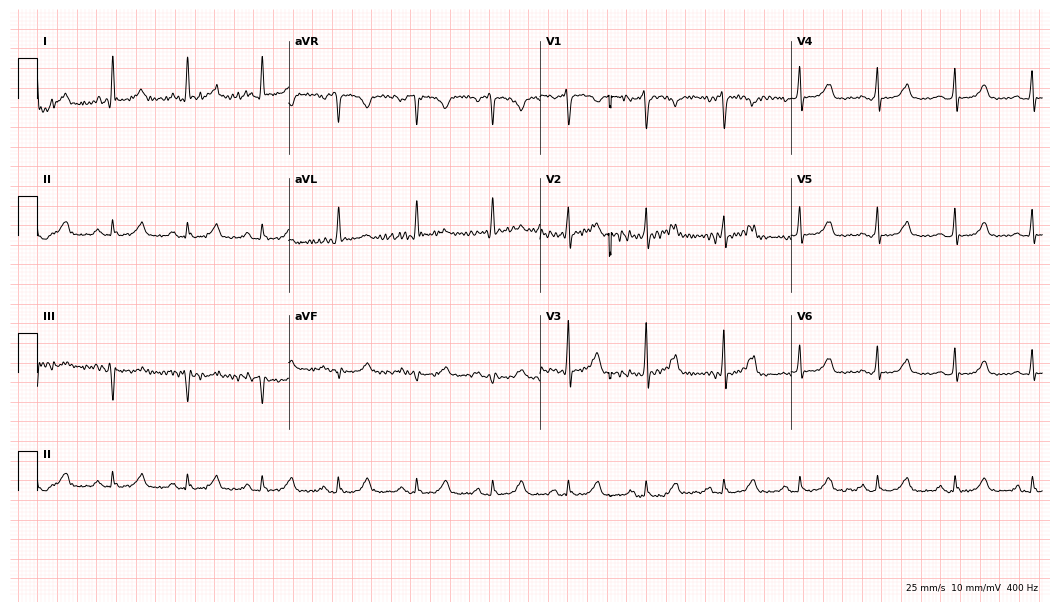
Electrocardiogram (10.2-second recording at 400 Hz), a 60-year-old female. Of the six screened findings (first-degree AV block, right bundle branch block, left bundle branch block, sinus bradycardia, atrial fibrillation, sinus tachycardia), none is recorded.